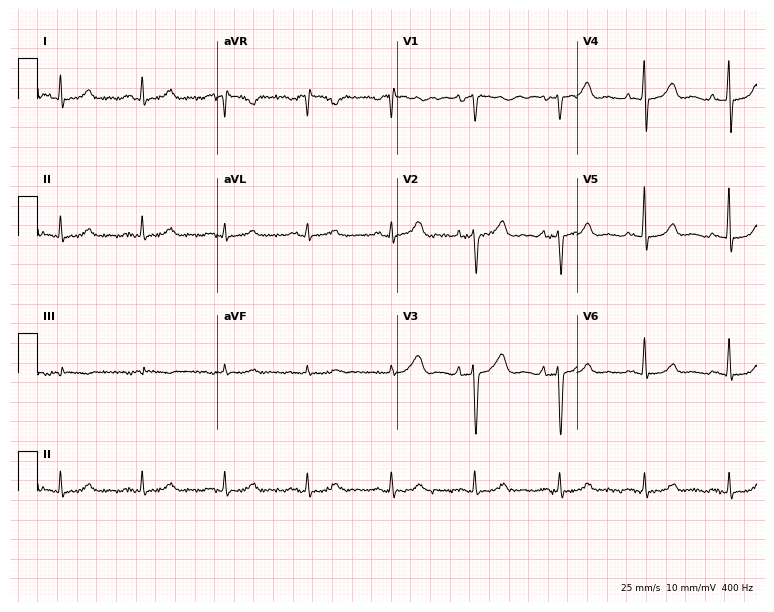
ECG — a 67-year-old male patient. Screened for six findings — first-degree AV block, right bundle branch block, left bundle branch block, sinus bradycardia, atrial fibrillation, sinus tachycardia — none is recorded. Findings outside these six are not listed.